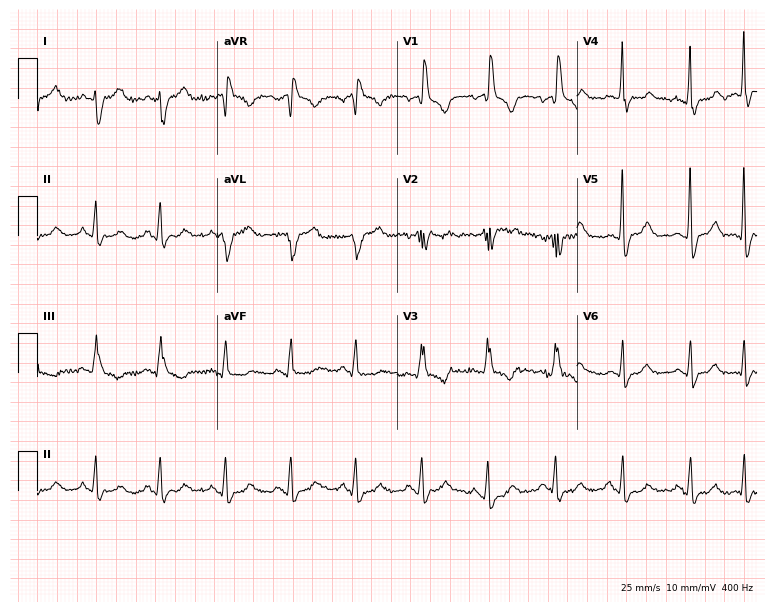
Electrocardiogram, a 60-year-old man. Interpretation includes right bundle branch block (RBBB).